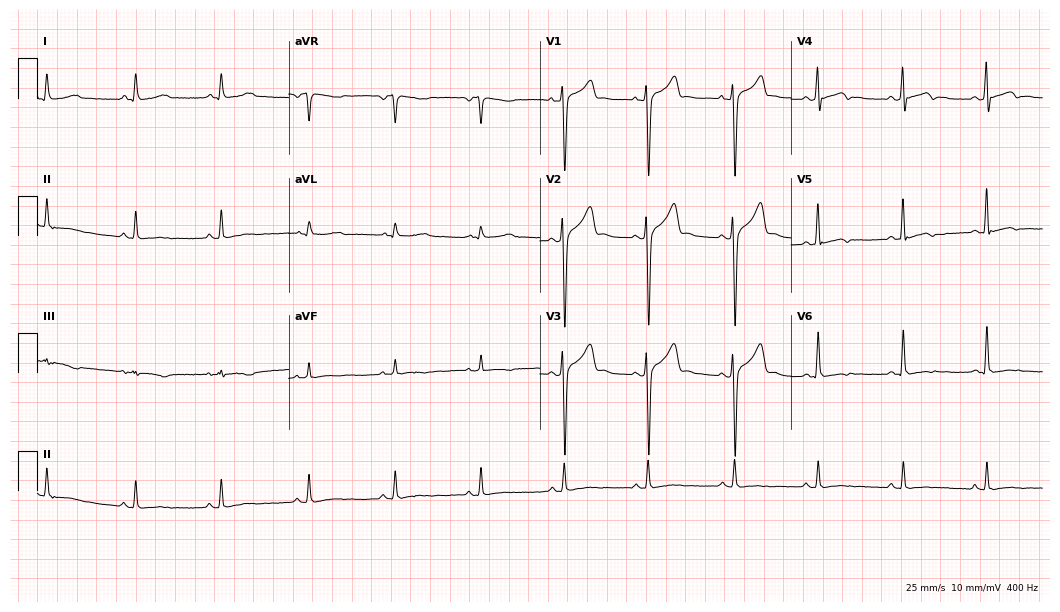
ECG — a male, 38 years old. Labelled as a normal ECG.